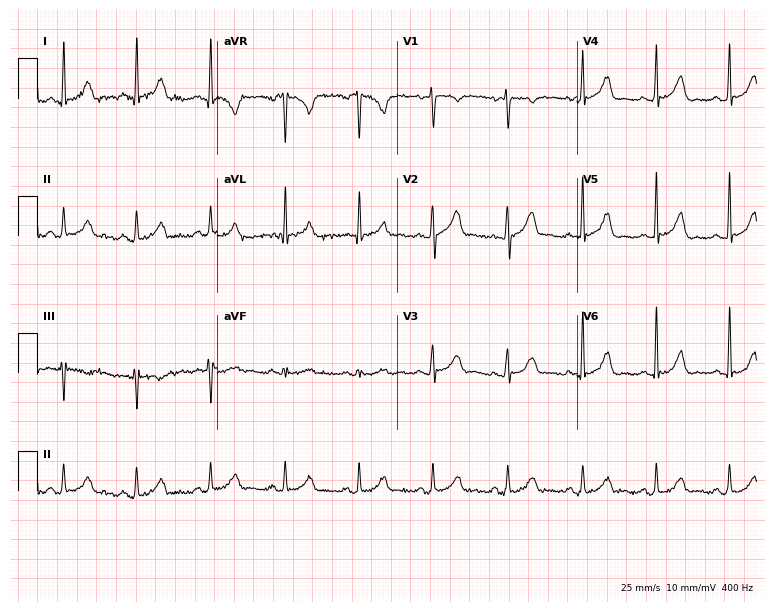
12-lead ECG from a 49-year-old female patient (7.3-second recording at 400 Hz). No first-degree AV block, right bundle branch block (RBBB), left bundle branch block (LBBB), sinus bradycardia, atrial fibrillation (AF) or sinus tachycardia recorded for this tracing. Findings outside these six are not listed.